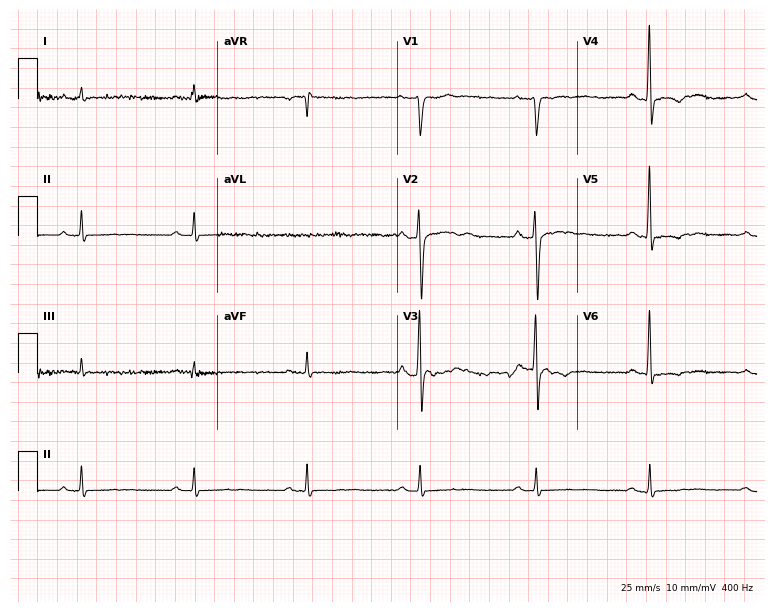
ECG (7.3-second recording at 400 Hz) — a man, 72 years old. Screened for six findings — first-degree AV block, right bundle branch block, left bundle branch block, sinus bradycardia, atrial fibrillation, sinus tachycardia — none is recorded. Findings outside these six are not listed.